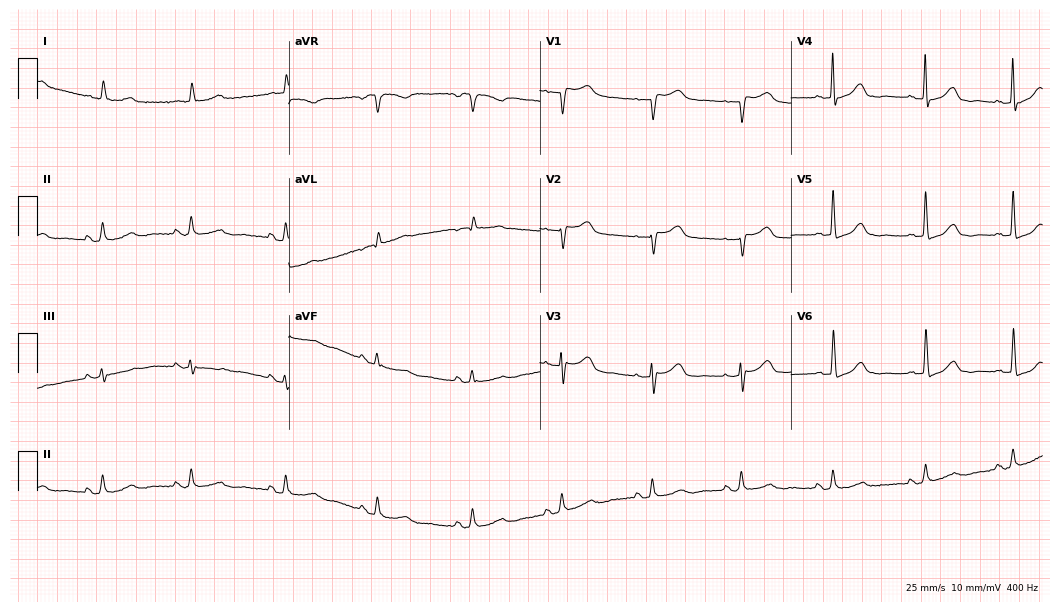
Electrocardiogram, a woman, 84 years old. Overall reading on record: normal ECG.